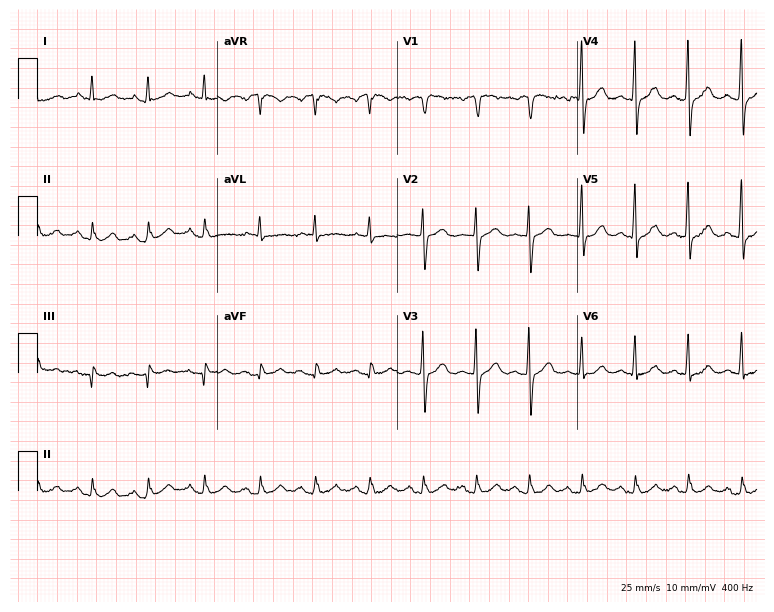
12-lead ECG from a 52-year-old man (7.3-second recording at 400 Hz). Shows sinus tachycardia (a sinus rate of 100 beats per minute or more).